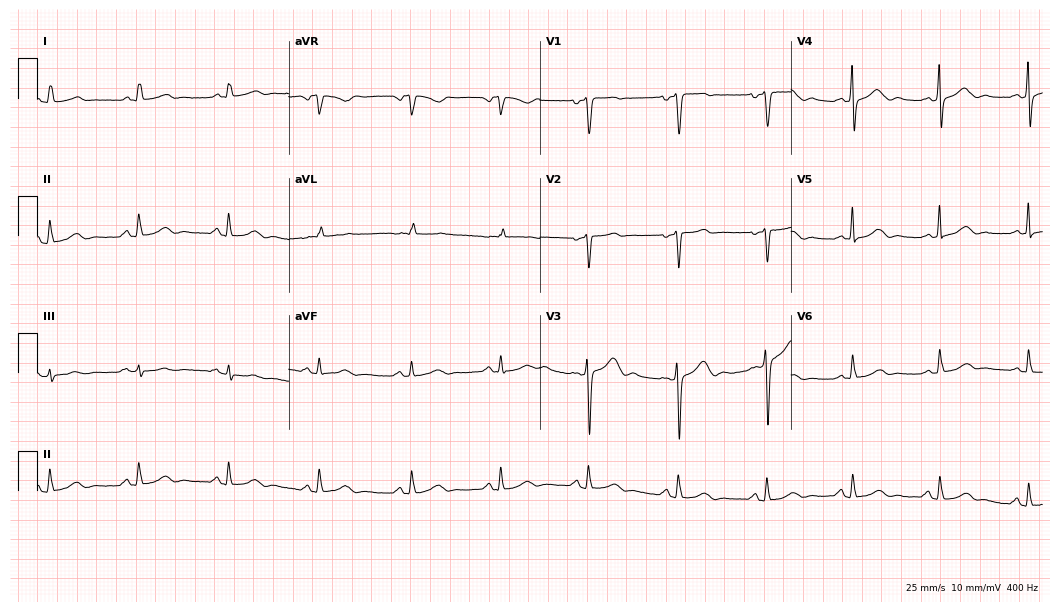
12-lead ECG from a 46-year-old woman. Recorded interpretation: within normal limits.